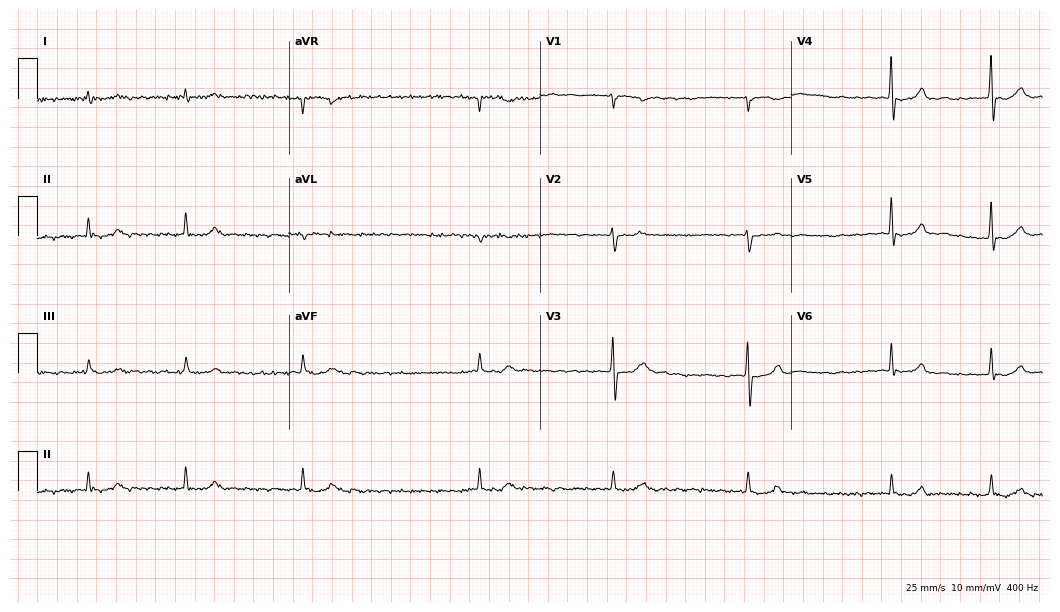
Resting 12-lead electrocardiogram (10.2-second recording at 400 Hz). Patient: a male, 78 years old. None of these six findings is recorded: first-degree AV block, right bundle branch block, left bundle branch block, sinus bradycardia, atrial fibrillation, sinus tachycardia. Only these six findings were labelled.